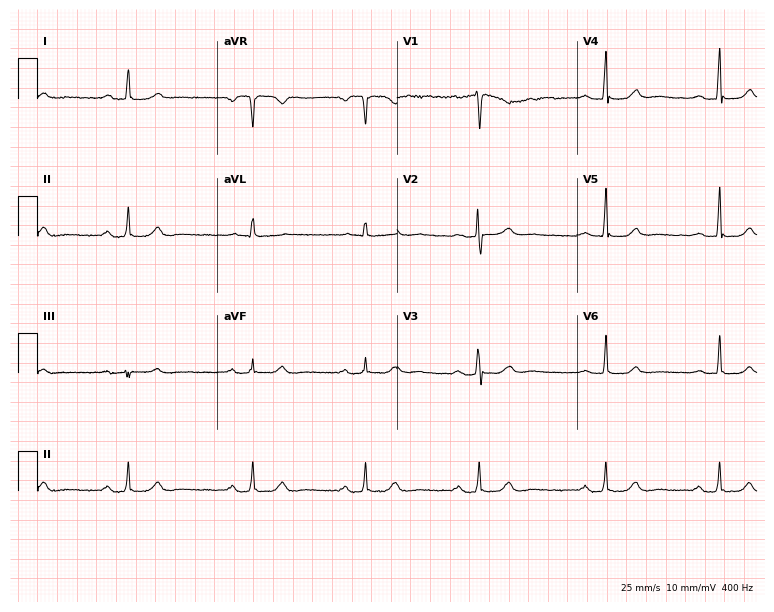
ECG (7.3-second recording at 400 Hz) — a female patient, 47 years old. Labelled as a normal ECG.